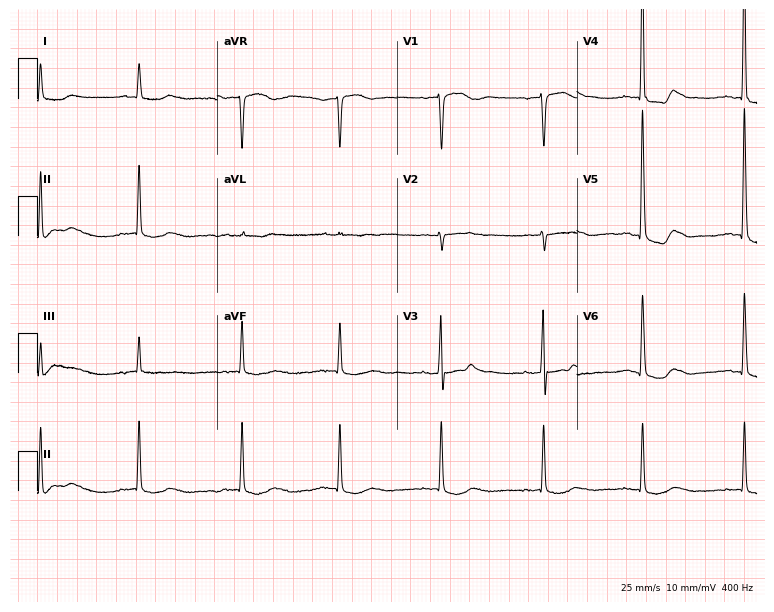
12-lead ECG from an 84-year-old female. No first-degree AV block, right bundle branch block (RBBB), left bundle branch block (LBBB), sinus bradycardia, atrial fibrillation (AF) or sinus tachycardia recorded for this tracing. Only these six findings were labelled.